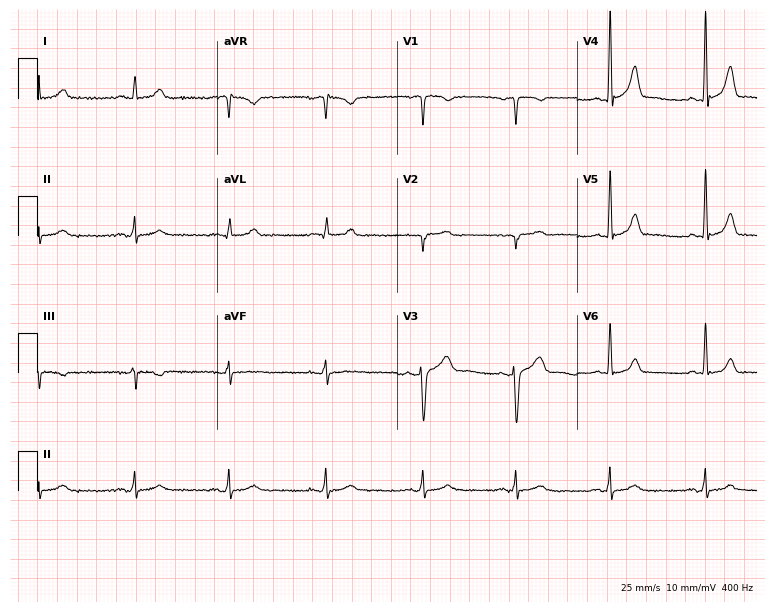
Standard 12-lead ECG recorded from a male patient, 46 years old (7.3-second recording at 400 Hz). Read as a normal ECG.